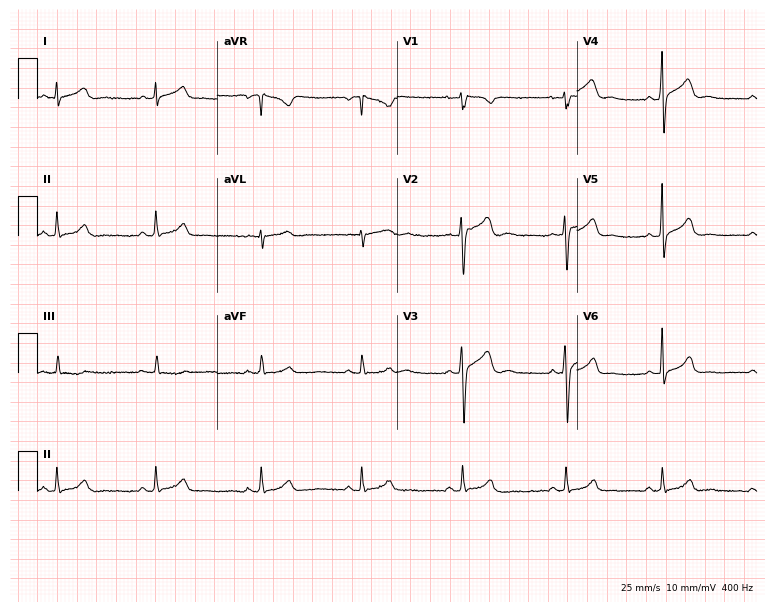
Resting 12-lead electrocardiogram. Patient: a 25-year-old male. Read as a normal ECG.